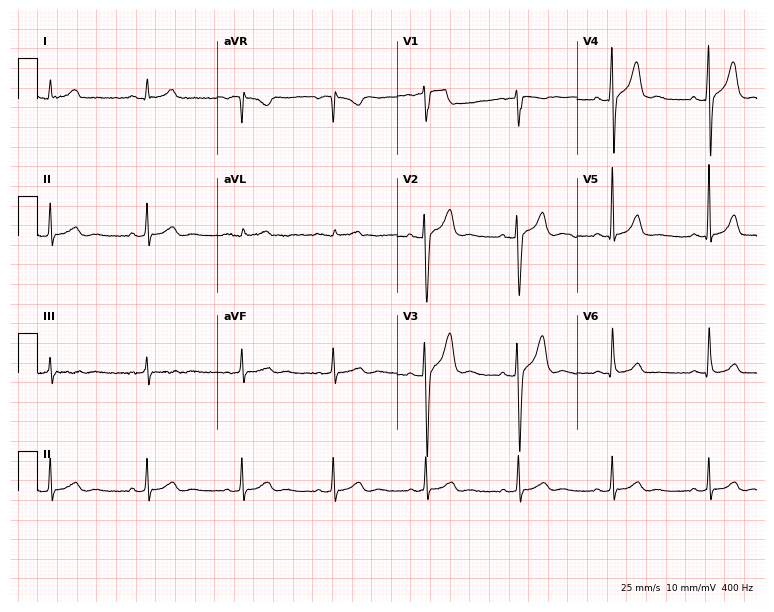
ECG — a 31-year-old male patient. Screened for six findings — first-degree AV block, right bundle branch block, left bundle branch block, sinus bradycardia, atrial fibrillation, sinus tachycardia — none is recorded. Only these six findings were labelled.